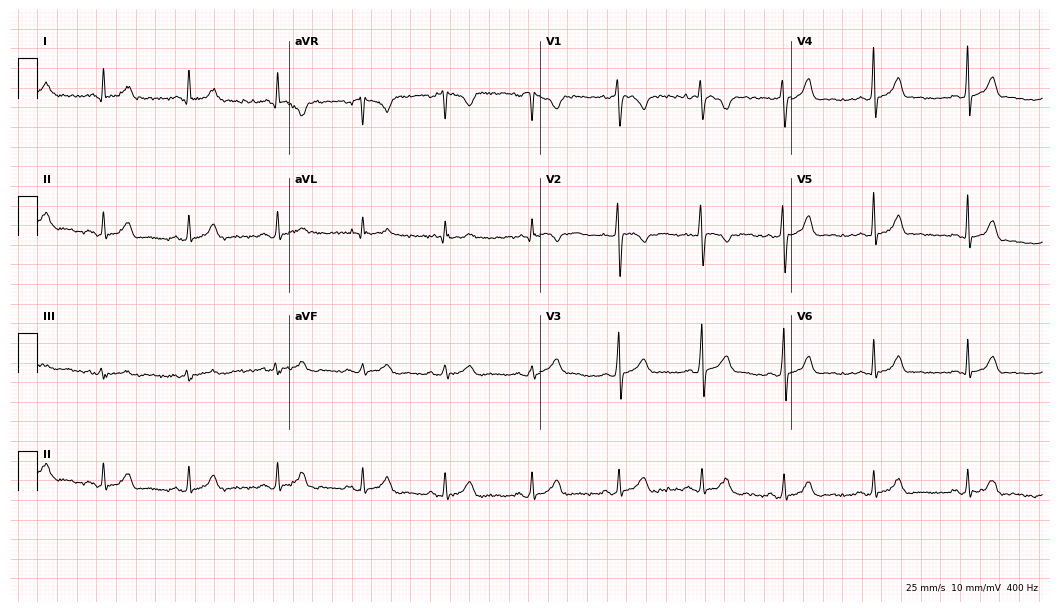
Standard 12-lead ECG recorded from a 25-year-old woman. Read as a normal ECG.